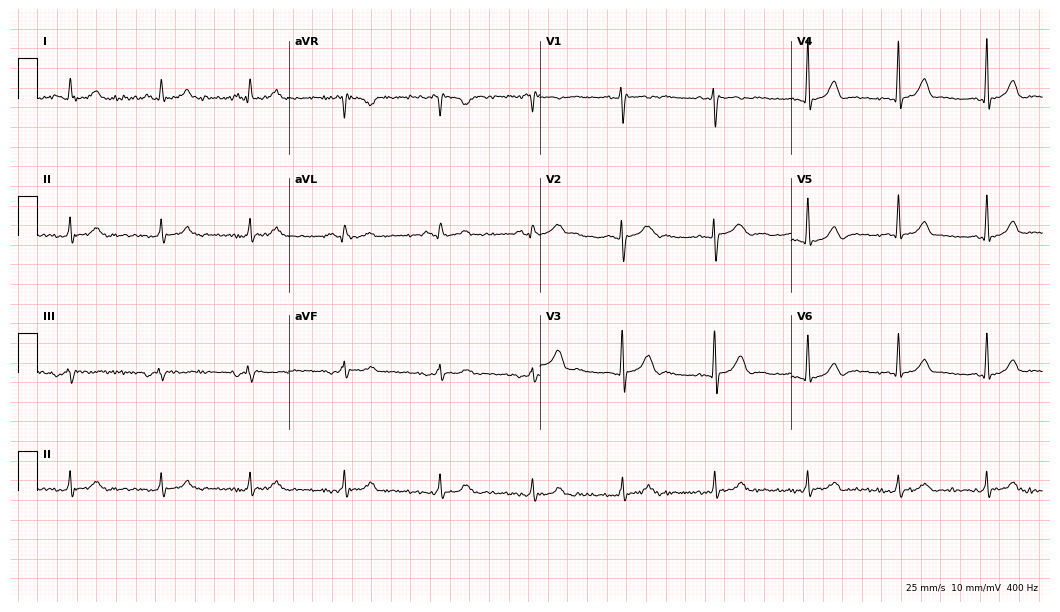
Resting 12-lead electrocardiogram (10.2-second recording at 400 Hz). Patient: a 27-year-old male. None of these six findings is recorded: first-degree AV block, right bundle branch block (RBBB), left bundle branch block (LBBB), sinus bradycardia, atrial fibrillation (AF), sinus tachycardia.